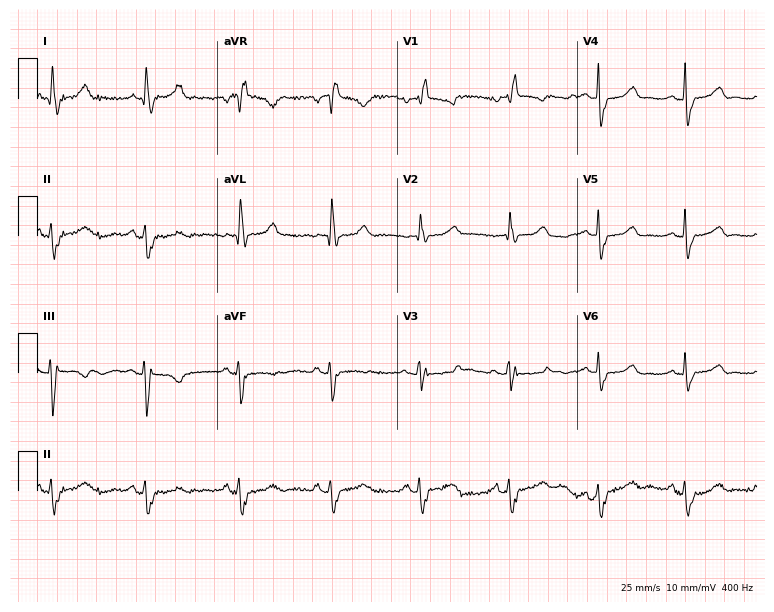
12-lead ECG from a woman, 48 years old (7.3-second recording at 400 Hz). Shows right bundle branch block.